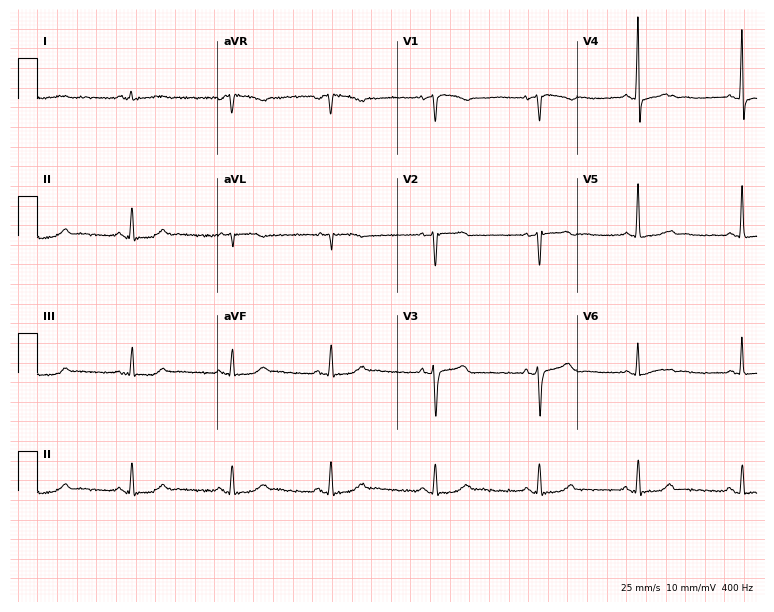
Electrocardiogram (7.3-second recording at 400 Hz), a female, 61 years old. Overall reading on record: normal ECG.